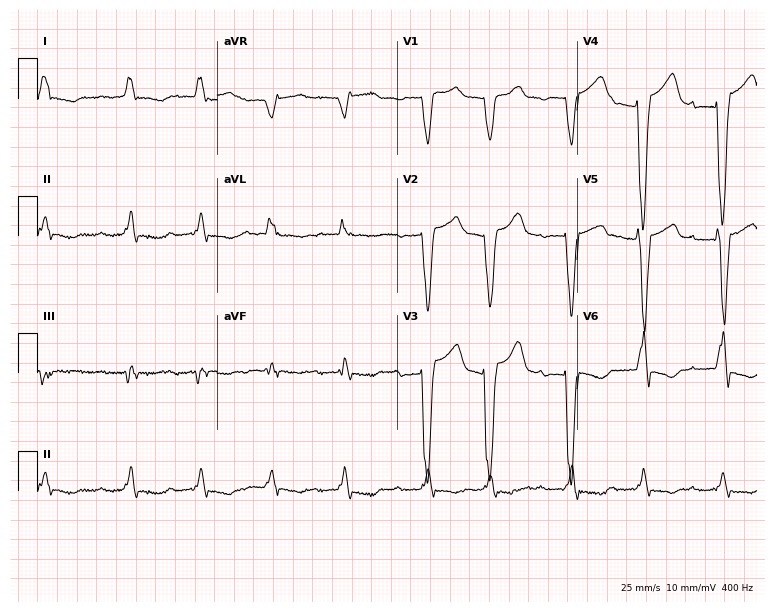
Standard 12-lead ECG recorded from a male patient, 77 years old. The tracing shows first-degree AV block, left bundle branch block, atrial fibrillation.